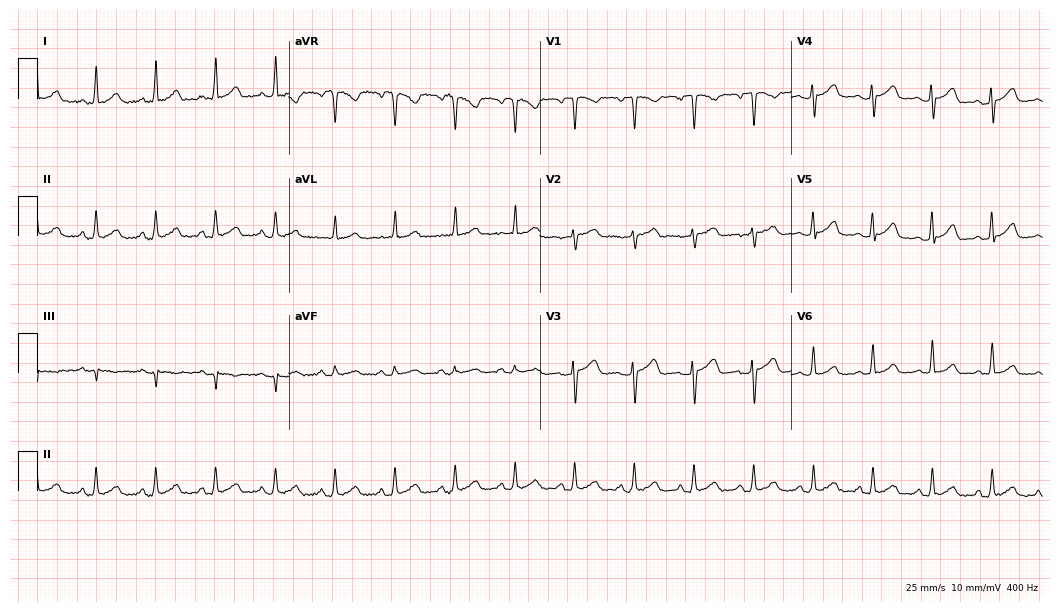
12-lead ECG (10.2-second recording at 400 Hz) from a female, 44 years old. Labelled as a normal ECG.